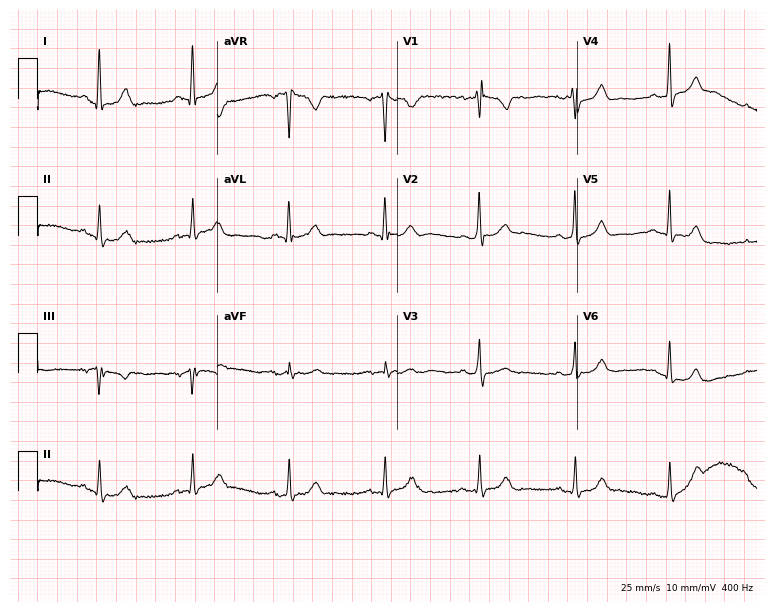
12-lead ECG from a female patient, 67 years old. No first-degree AV block, right bundle branch block, left bundle branch block, sinus bradycardia, atrial fibrillation or sinus tachycardia recorded for this tracing.